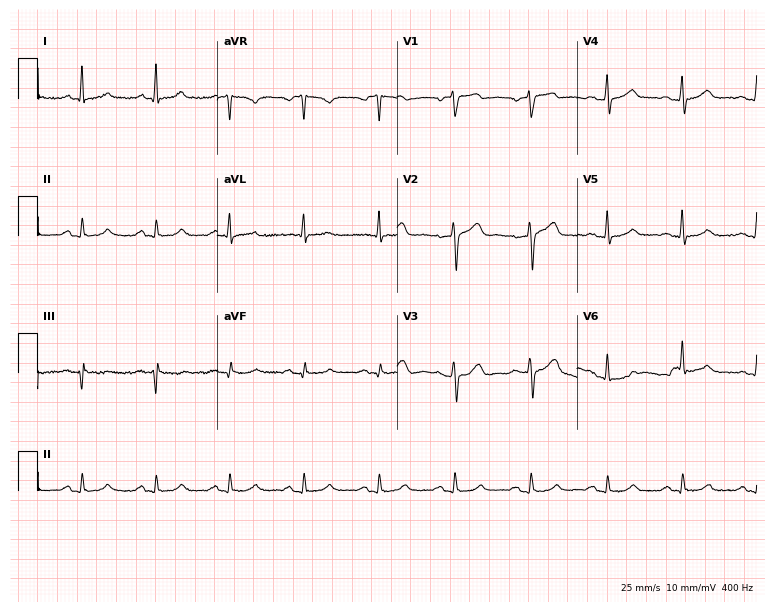
Standard 12-lead ECG recorded from a 53-year-old man (7.3-second recording at 400 Hz). None of these six findings is recorded: first-degree AV block, right bundle branch block, left bundle branch block, sinus bradycardia, atrial fibrillation, sinus tachycardia. Findings outside these six are not listed.